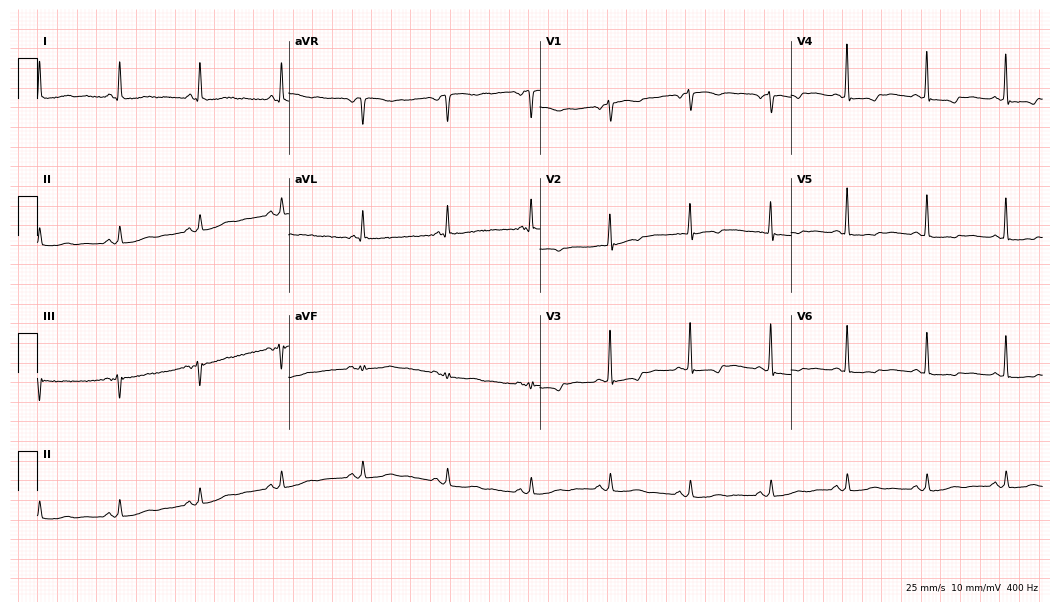
Standard 12-lead ECG recorded from a 53-year-old female patient (10.2-second recording at 400 Hz). None of these six findings is recorded: first-degree AV block, right bundle branch block, left bundle branch block, sinus bradycardia, atrial fibrillation, sinus tachycardia.